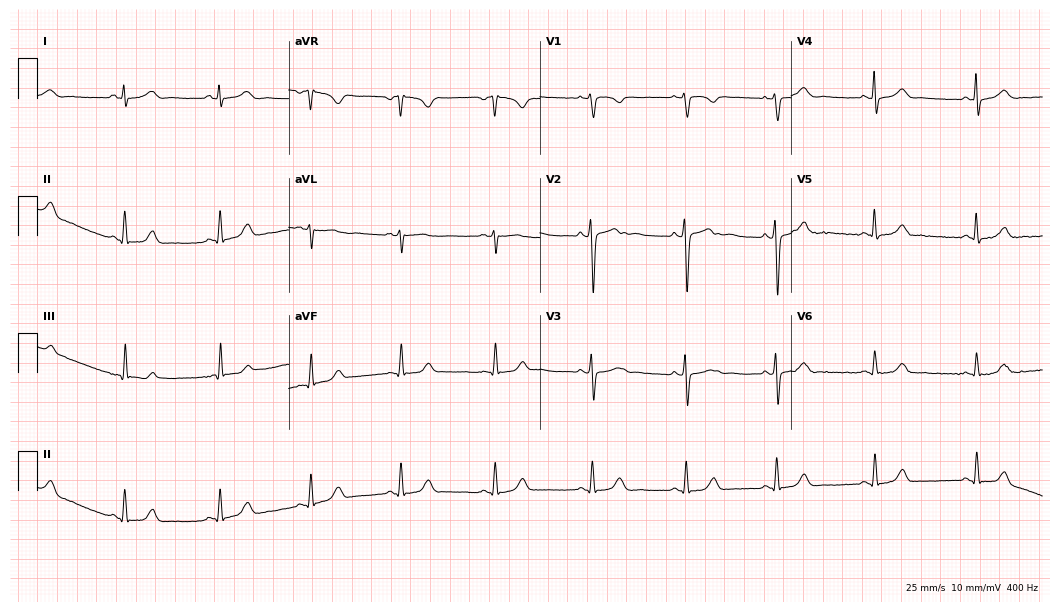
12-lead ECG from a 28-year-old woman (10.2-second recording at 400 Hz). Recorded interpretation: within normal limits.